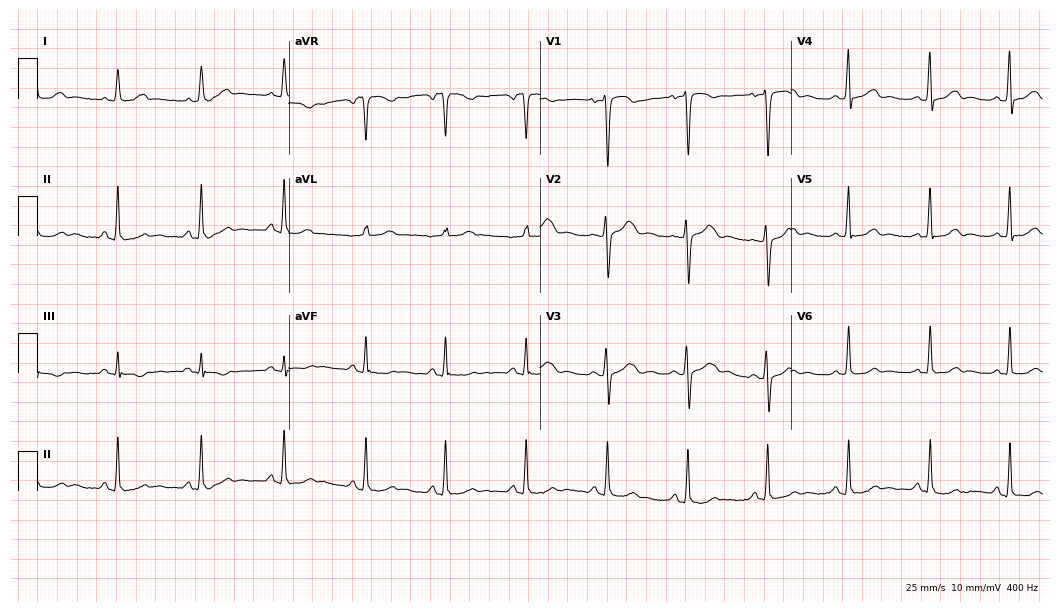
Resting 12-lead electrocardiogram (10.2-second recording at 400 Hz). Patient: a woman, 28 years old. Read as a normal ECG.